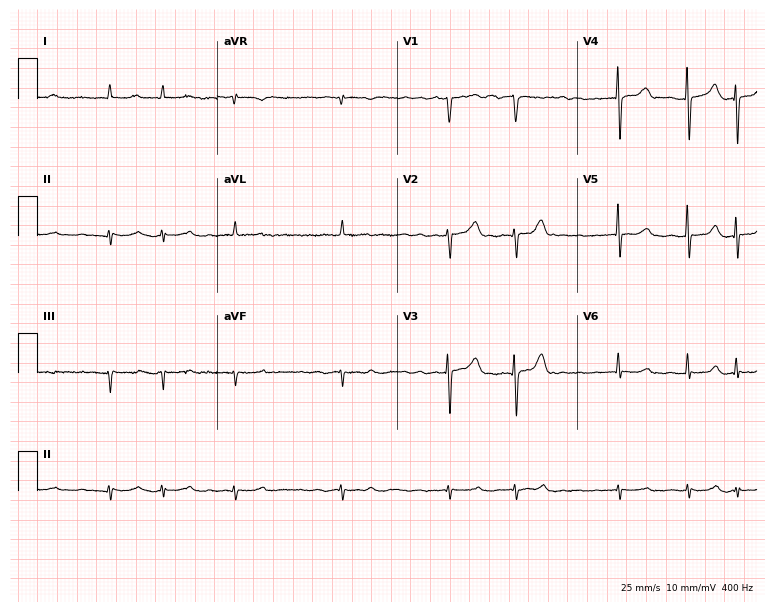
Resting 12-lead electrocardiogram. Patient: an 83-year-old man. None of these six findings is recorded: first-degree AV block, right bundle branch block (RBBB), left bundle branch block (LBBB), sinus bradycardia, atrial fibrillation (AF), sinus tachycardia. Other findings, if any, are not listed.